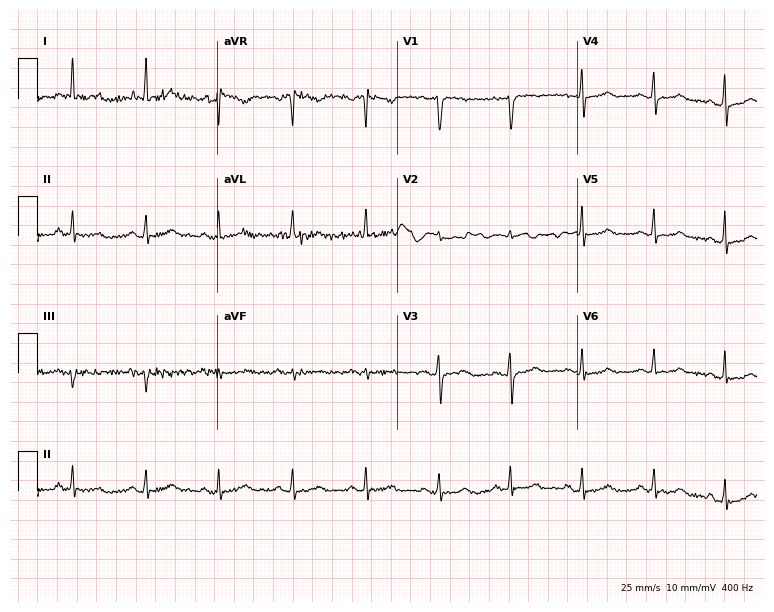
Electrocardiogram (7.3-second recording at 400 Hz), a female patient, 62 years old. Of the six screened findings (first-degree AV block, right bundle branch block (RBBB), left bundle branch block (LBBB), sinus bradycardia, atrial fibrillation (AF), sinus tachycardia), none is recorded.